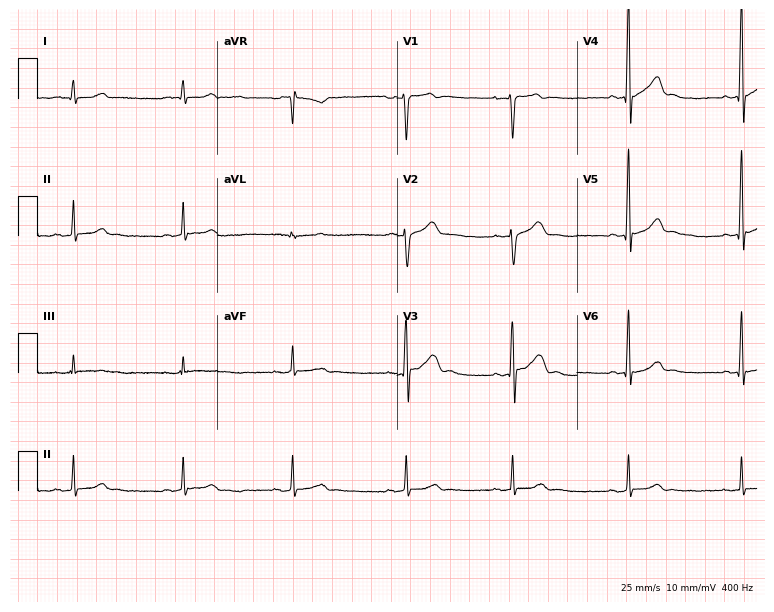
Electrocardiogram, a male patient, 32 years old. Of the six screened findings (first-degree AV block, right bundle branch block (RBBB), left bundle branch block (LBBB), sinus bradycardia, atrial fibrillation (AF), sinus tachycardia), none is recorded. Only these six findings were labelled.